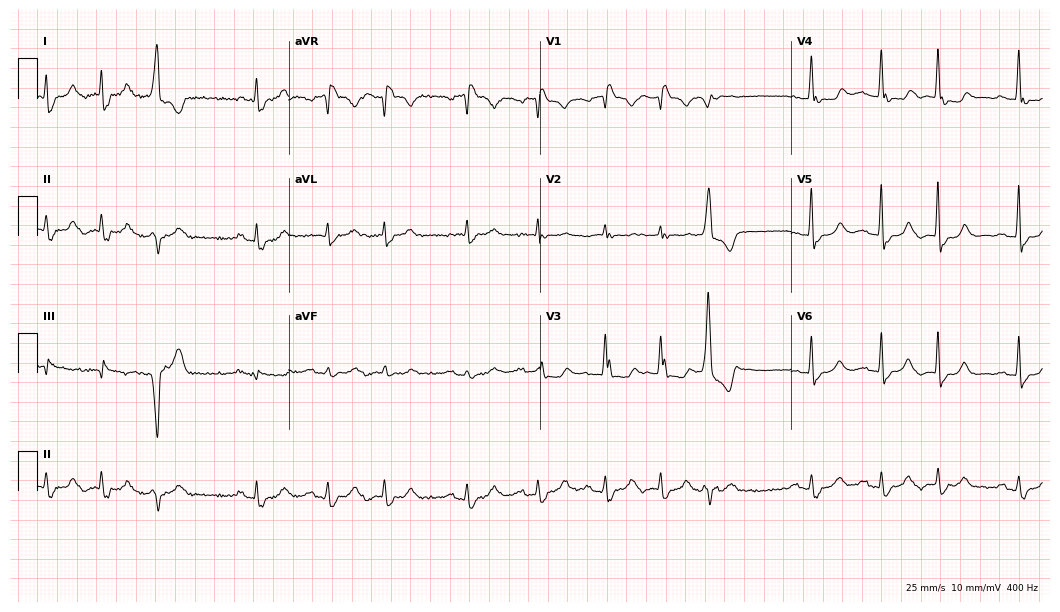
12-lead ECG from a female patient, 80 years old. Shows right bundle branch block (RBBB).